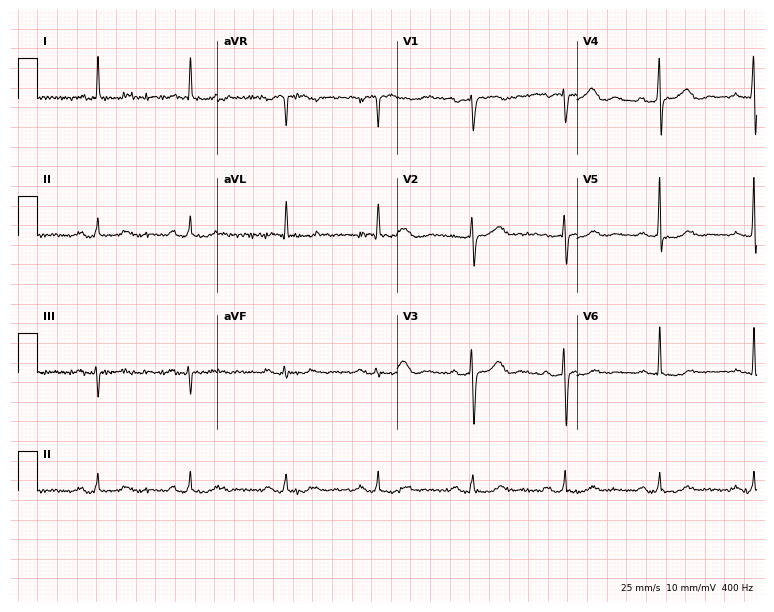
Standard 12-lead ECG recorded from a 71-year-old female. Read as a normal ECG.